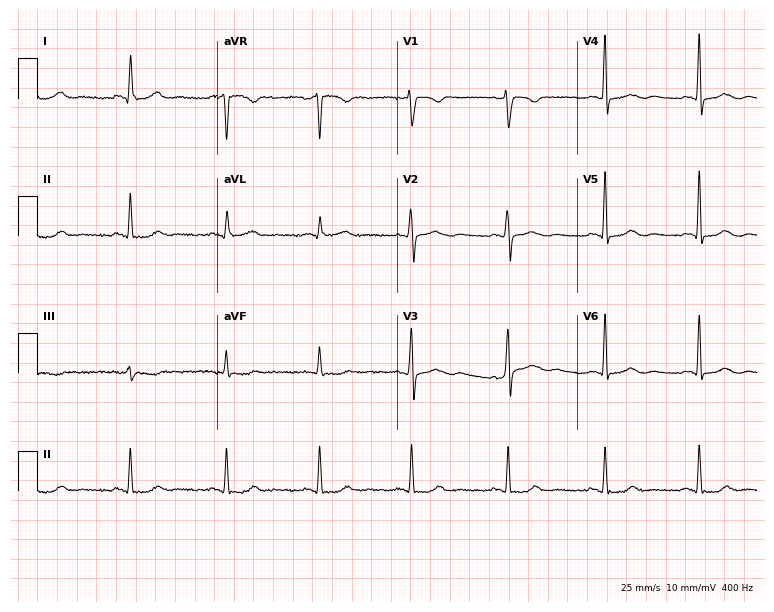
12-lead ECG from a female, 66 years old (7.3-second recording at 400 Hz). Recorded interpretation: within normal limits.